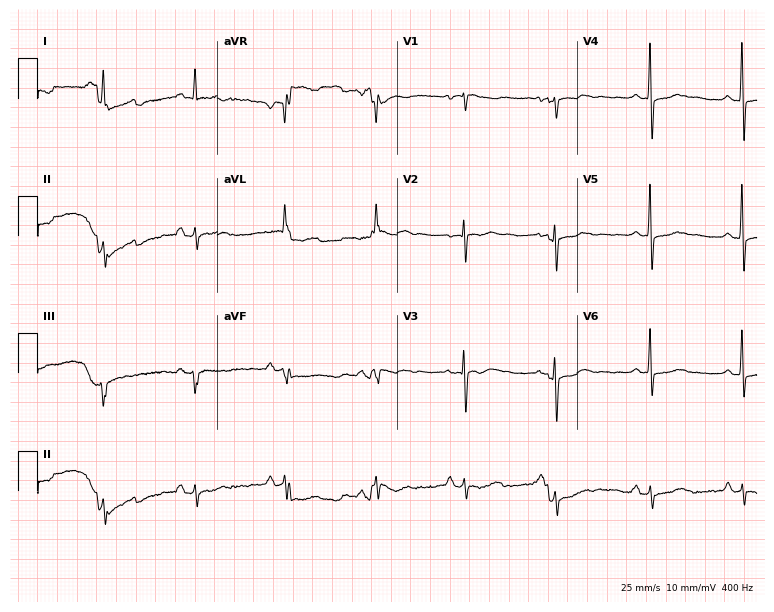
12-lead ECG from a woman, 80 years old (7.3-second recording at 400 Hz). No first-degree AV block, right bundle branch block, left bundle branch block, sinus bradycardia, atrial fibrillation or sinus tachycardia recorded for this tracing.